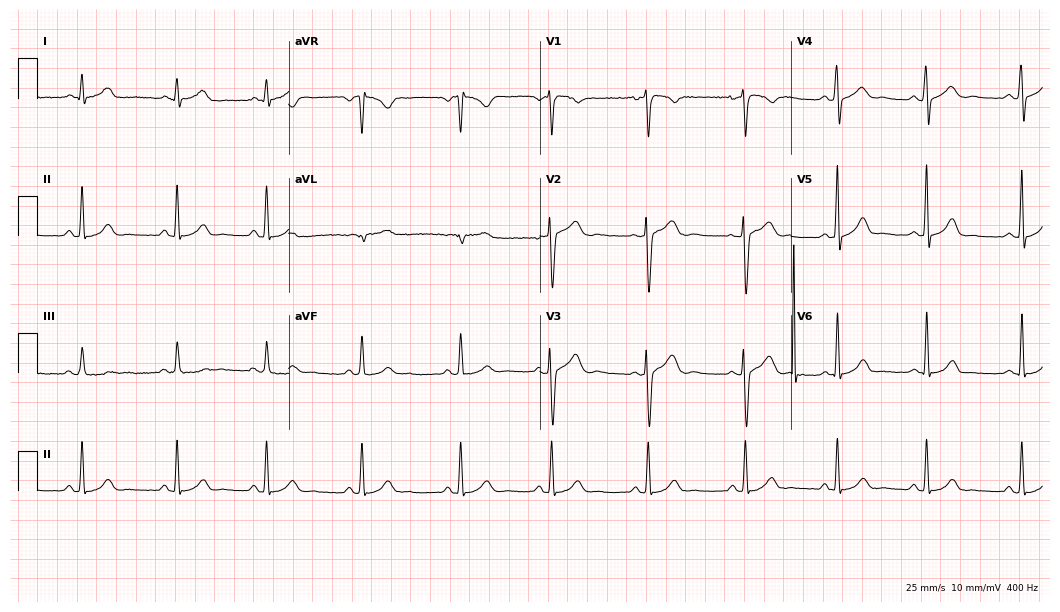
Standard 12-lead ECG recorded from a 25-year-old female. Read as a normal ECG.